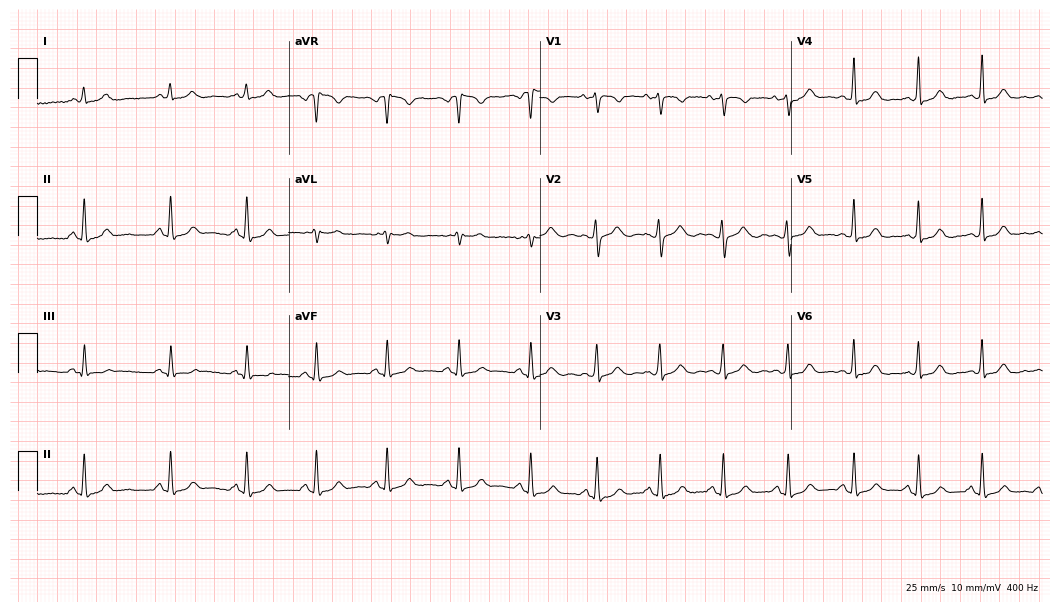
Standard 12-lead ECG recorded from a female, 27 years old (10.2-second recording at 400 Hz). None of these six findings is recorded: first-degree AV block, right bundle branch block, left bundle branch block, sinus bradycardia, atrial fibrillation, sinus tachycardia.